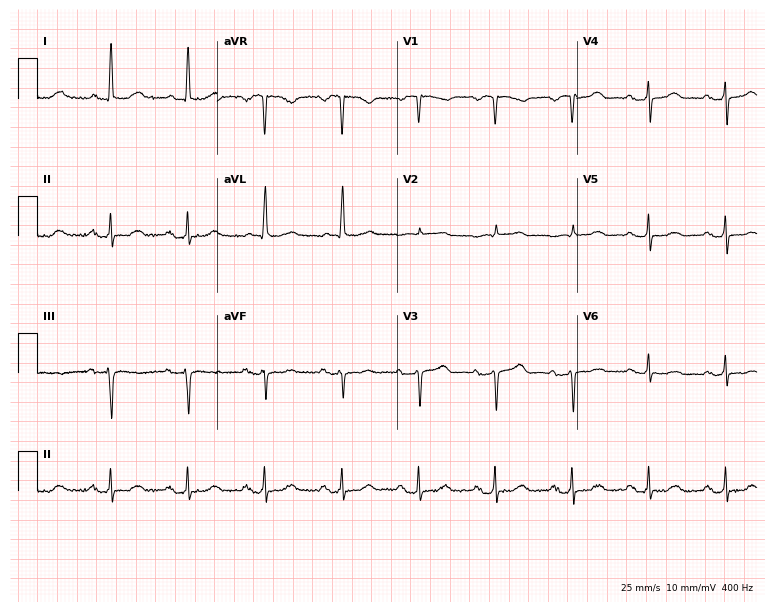
Electrocardiogram, a female patient, 81 years old. Overall reading on record: normal ECG.